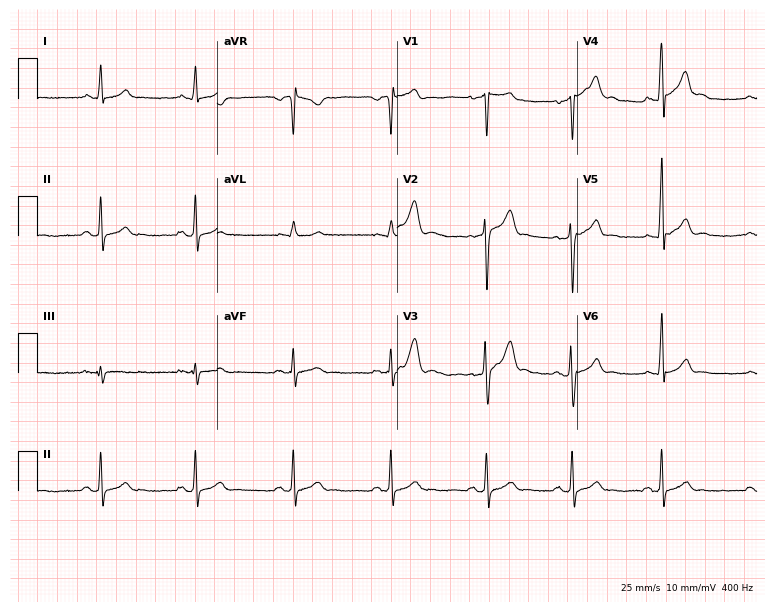
12-lead ECG from a man, 17 years old. Labelled as a normal ECG.